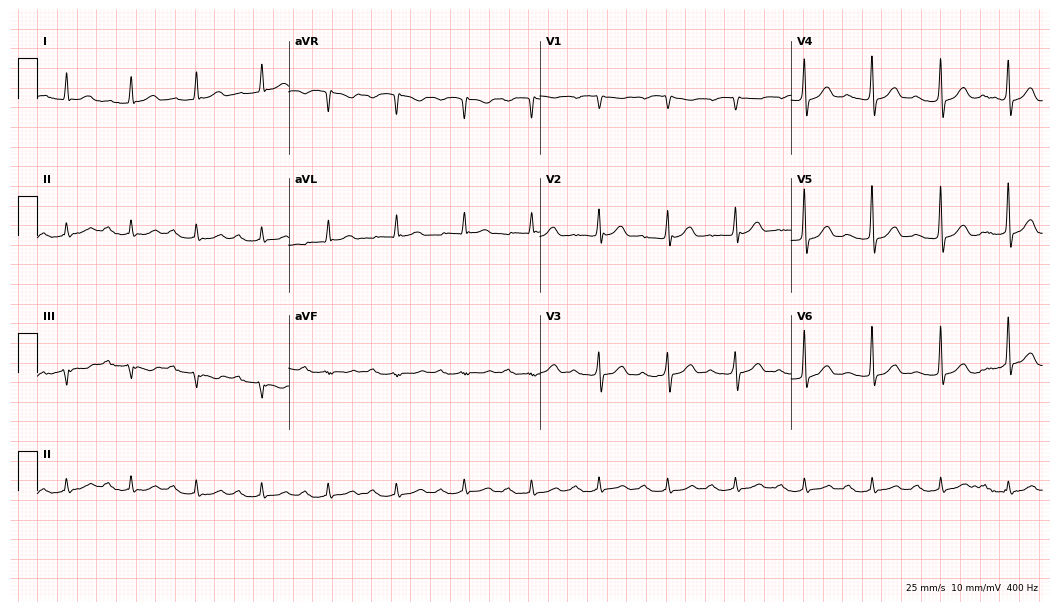
Resting 12-lead electrocardiogram (10.2-second recording at 400 Hz). Patient: a man, 84 years old. The tracing shows first-degree AV block.